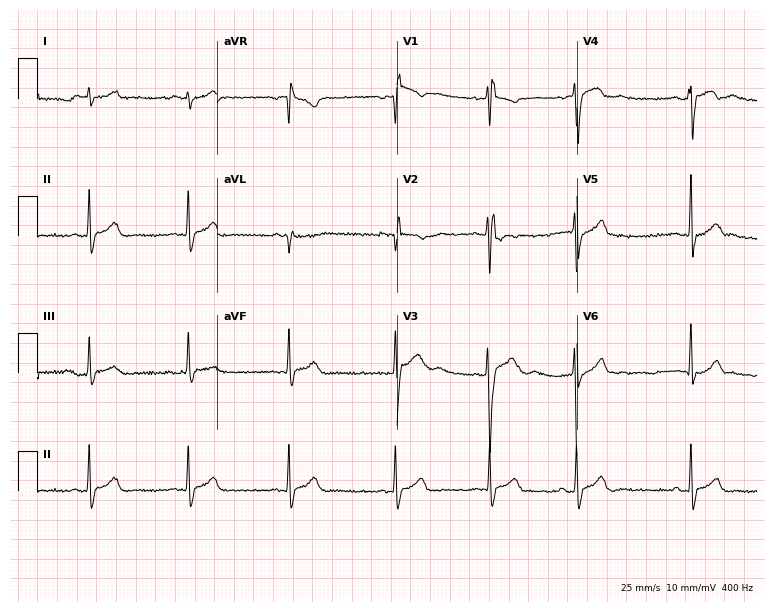
Standard 12-lead ECG recorded from a 17-year-old male patient. None of these six findings is recorded: first-degree AV block, right bundle branch block, left bundle branch block, sinus bradycardia, atrial fibrillation, sinus tachycardia.